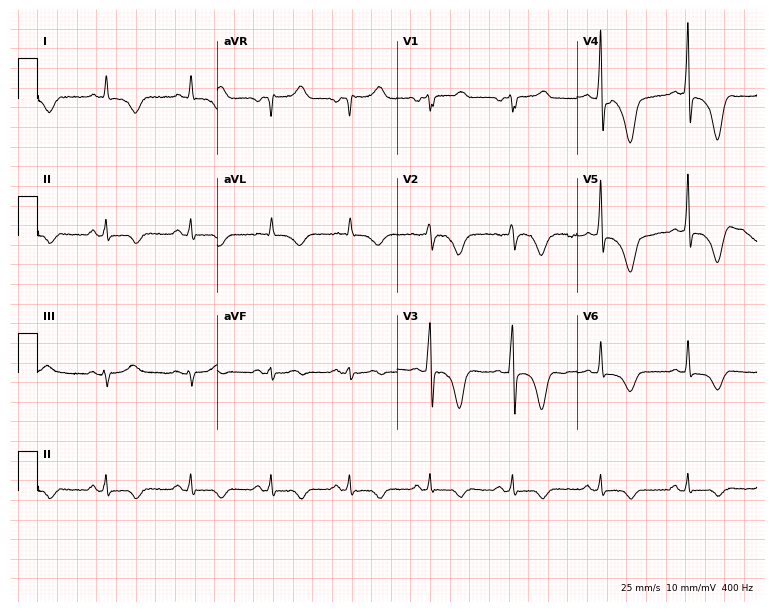
Standard 12-lead ECG recorded from a 42-year-old man (7.3-second recording at 400 Hz). Read as a normal ECG.